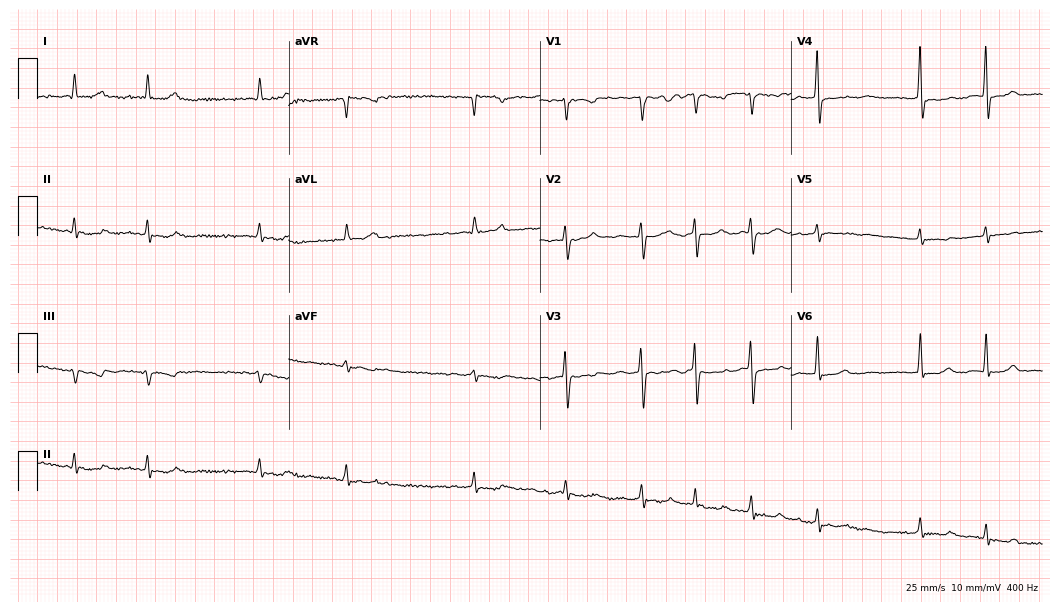
Resting 12-lead electrocardiogram. Patient: a female, 80 years old. The tracing shows atrial fibrillation.